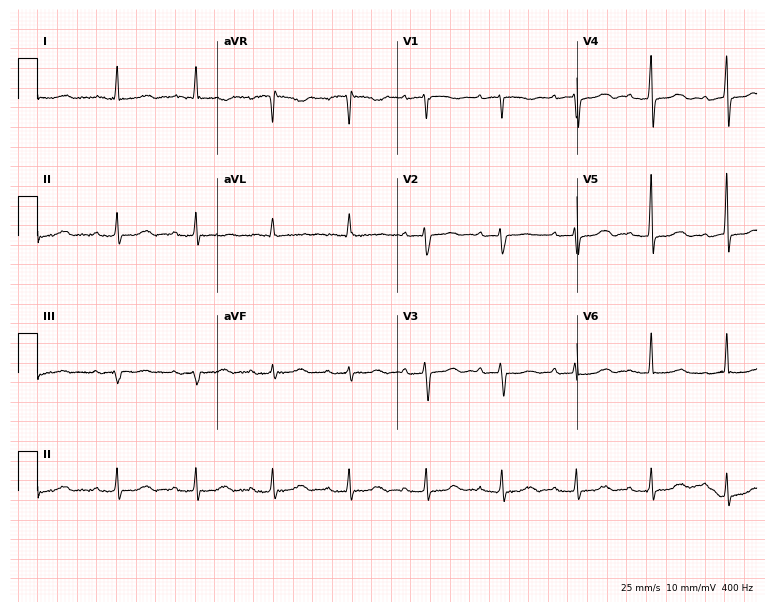
Electrocardiogram, a female patient, 84 years old. Interpretation includes first-degree AV block.